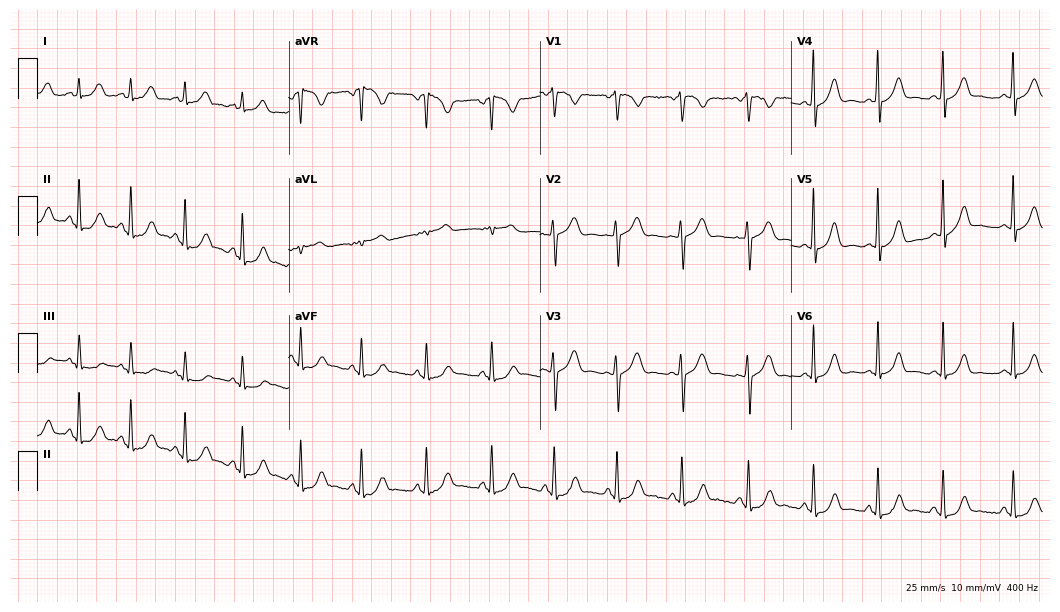
Standard 12-lead ECG recorded from a 21-year-old woman. Read as a normal ECG.